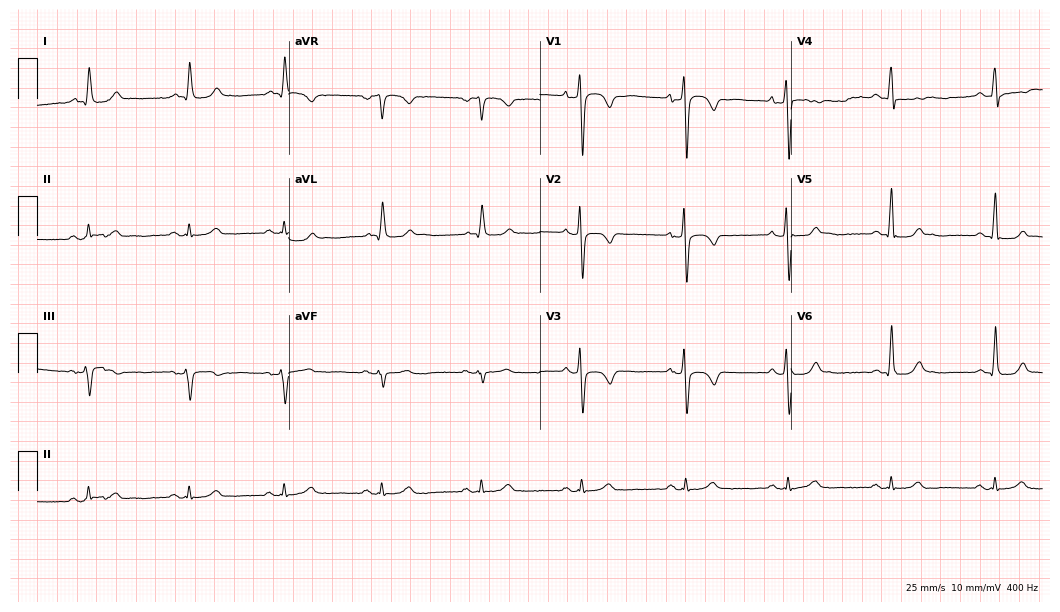
12-lead ECG from an 80-year-old female patient. Labelled as a normal ECG.